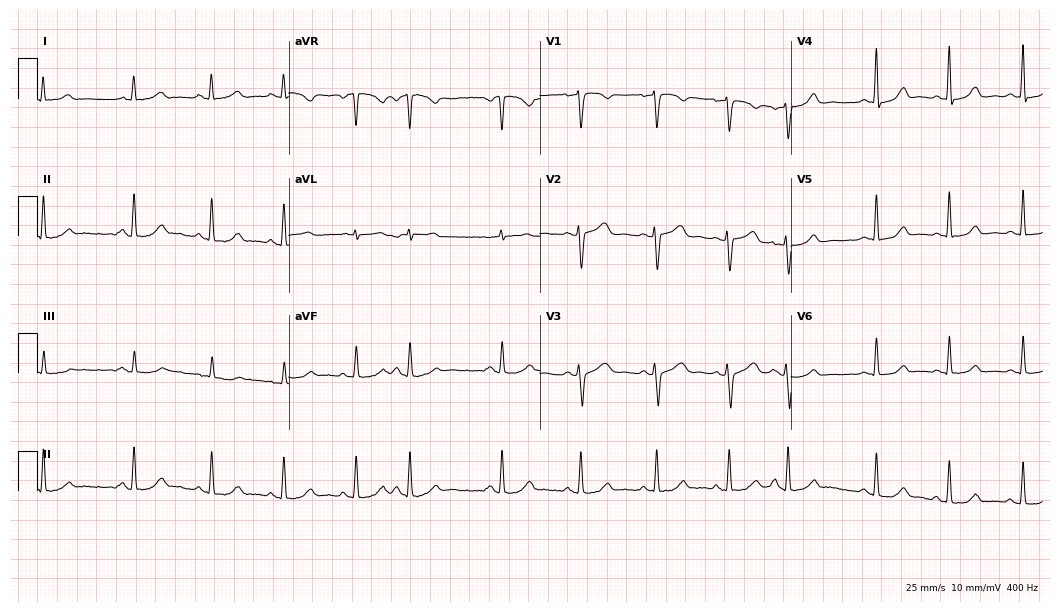
Electrocardiogram, a woman, 44 years old. Of the six screened findings (first-degree AV block, right bundle branch block (RBBB), left bundle branch block (LBBB), sinus bradycardia, atrial fibrillation (AF), sinus tachycardia), none is recorded.